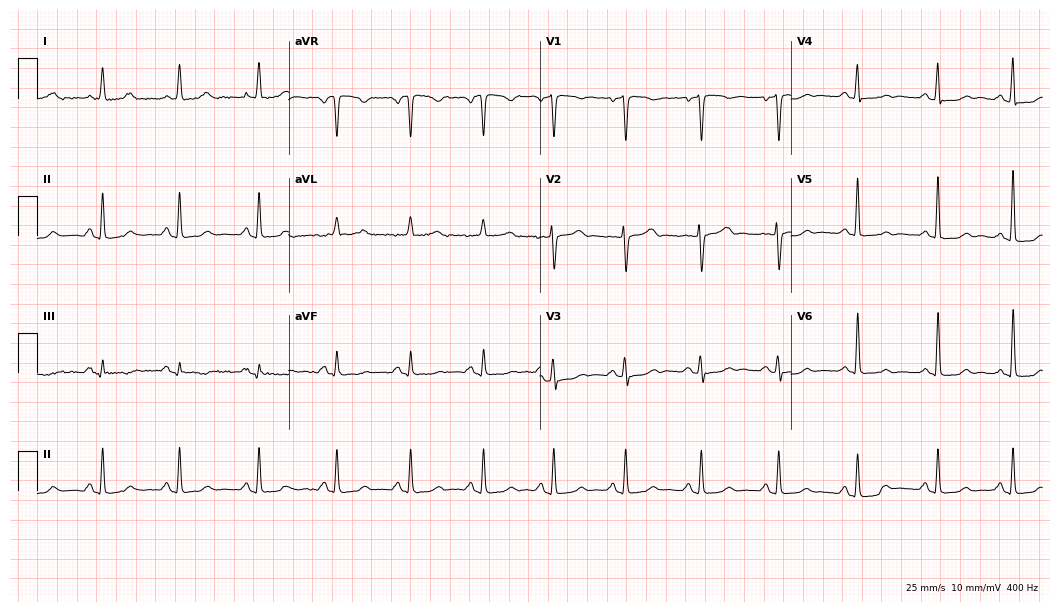
12-lead ECG from a 55-year-old female. Recorded interpretation: within normal limits.